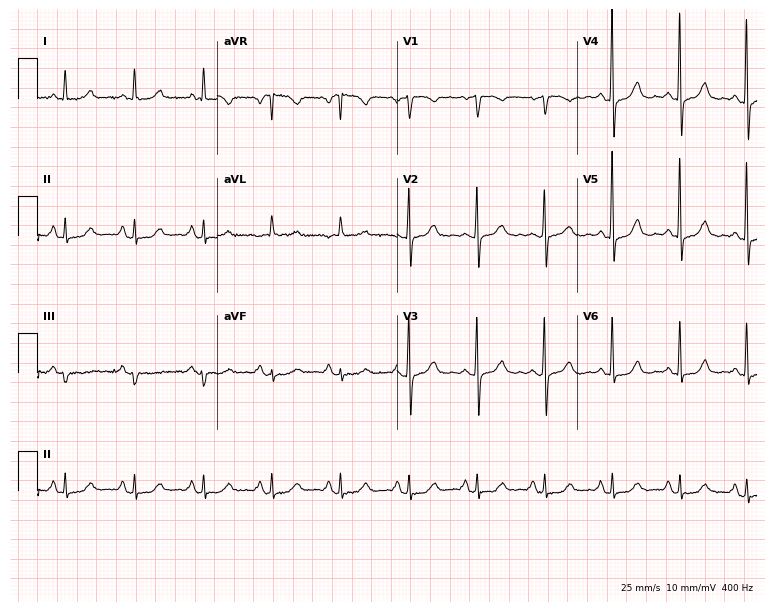
ECG — a woman, 75 years old. Labelled as a normal ECG.